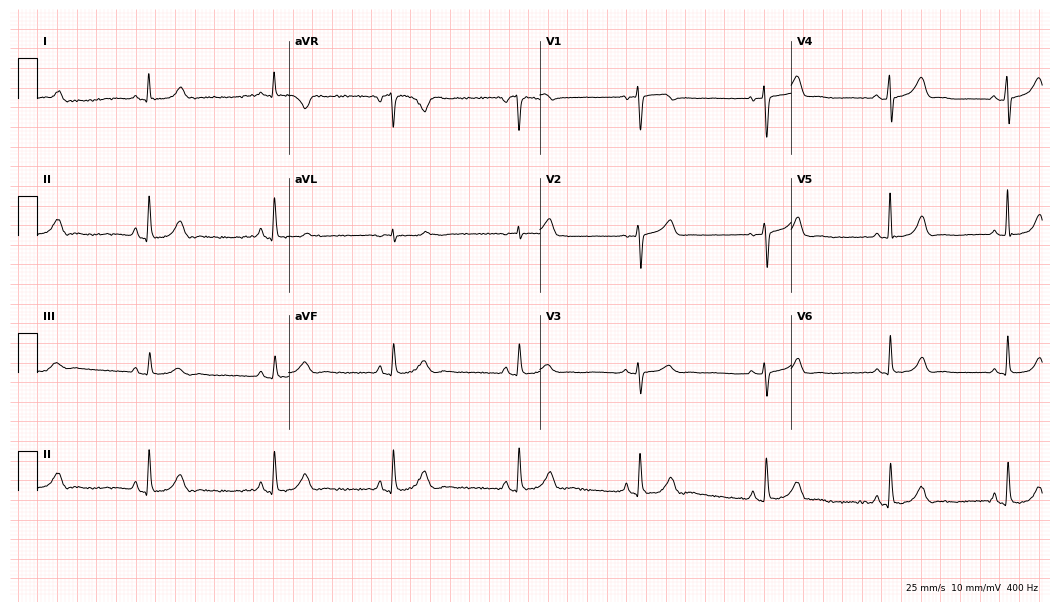
ECG (10.2-second recording at 400 Hz) — a woman, 61 years old. Findings include sinus bradycardia (a sinus rate of 50 beats per minute or less).